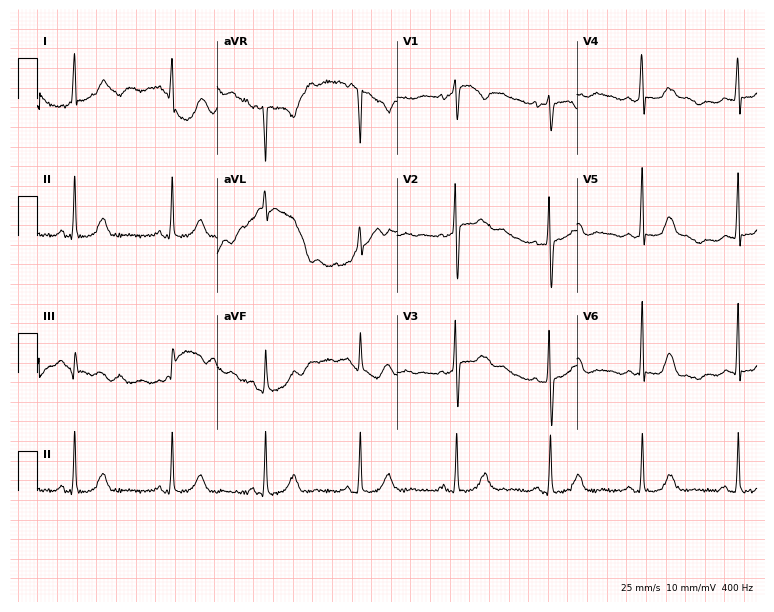
Standard 12-lead ECG recorded from a 25-year-old female (7.3-second recording at 400 Hz). Read as a normal ECG.